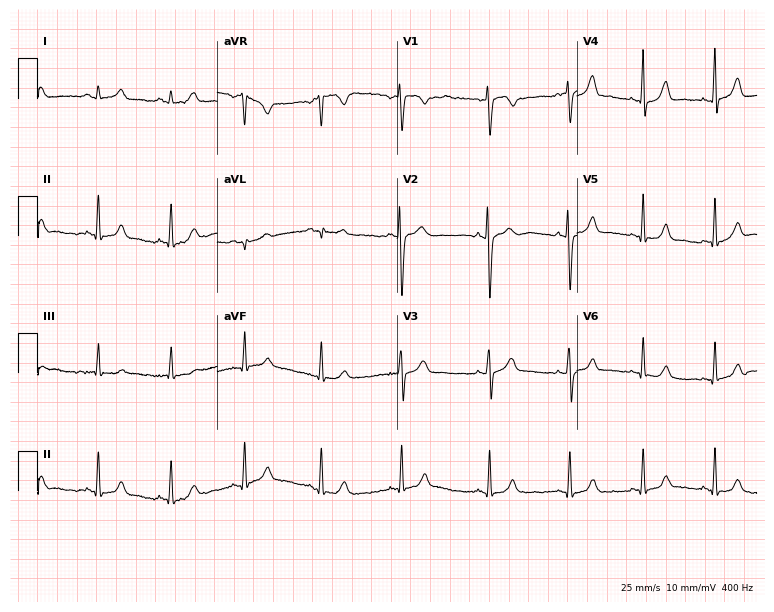
Electrocardiogram, a 21-year-old female. Overall reading on record: normal ECG.